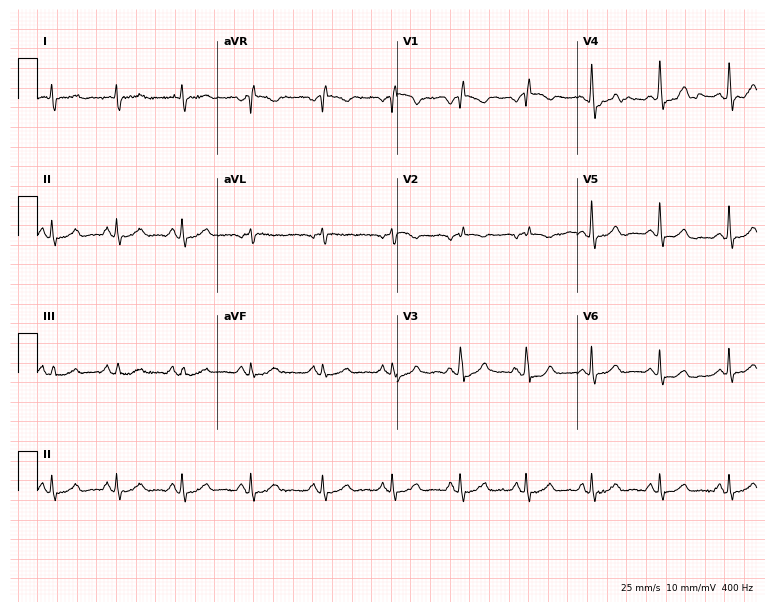
Resting 12-lead electrocardiogram (7.3-second recording at 400 Hz). Patient: a female, 79 years old. None of these six findings is recorded: first-degree AV block, right bundle branch block (RBBB), left bundle branch block (LBBB), sinus bradycardia, atrial fibrillation (AF), sinus tachycardia. Only these six findings were labelled.